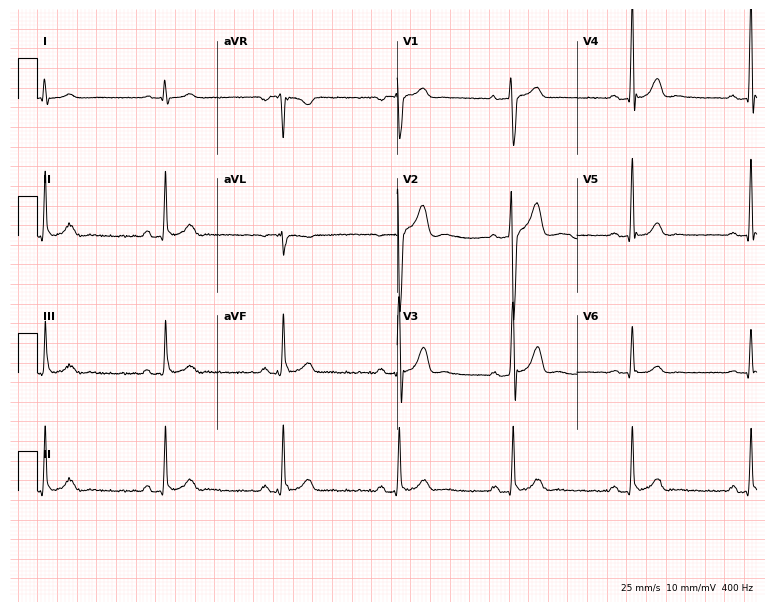
Resting 12-lead electrocardiogram (7.3-second recording at 400 Hz). Patient: a man, 40 years old. Read as a normal ECG.